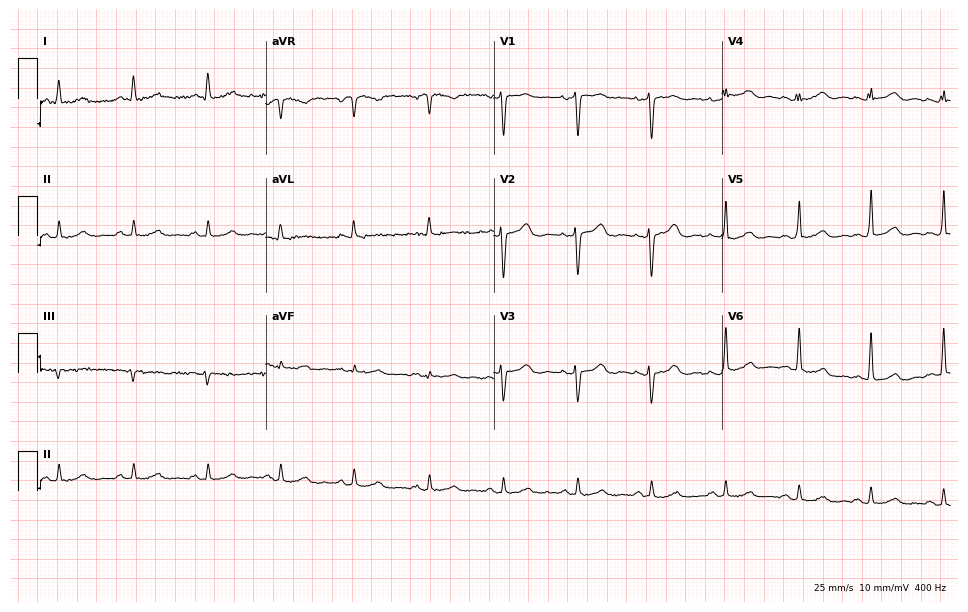
ECG (9.3-second recording at 400 Hz) — a female, 57 years old. Labelled as a normal ECG.